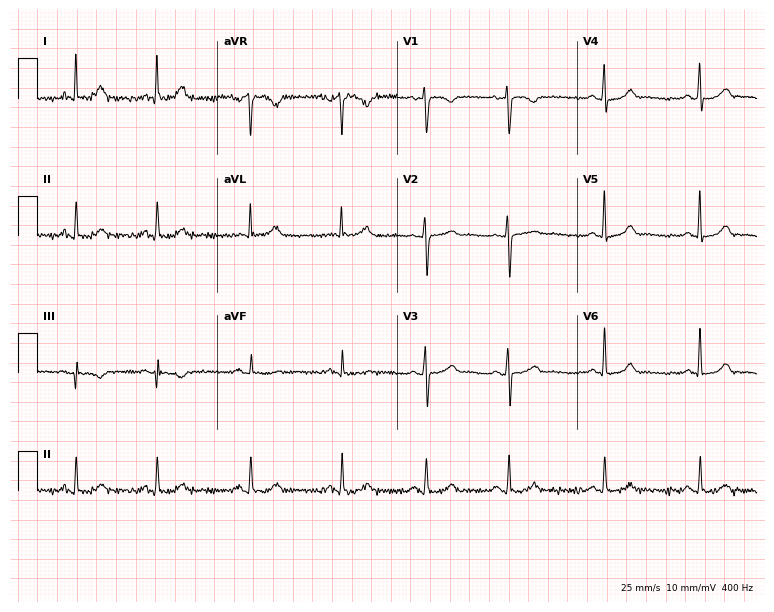
Resting 12-lead electrocardiogram. Patient: a 34-year-old female. None of these six findings is recorded: first-degree AV block, right bundle branch block, left bundle branch block, sinus bradycardia, atrial fibrillation, sinus tachycardia. Findings outside these six are not listed.